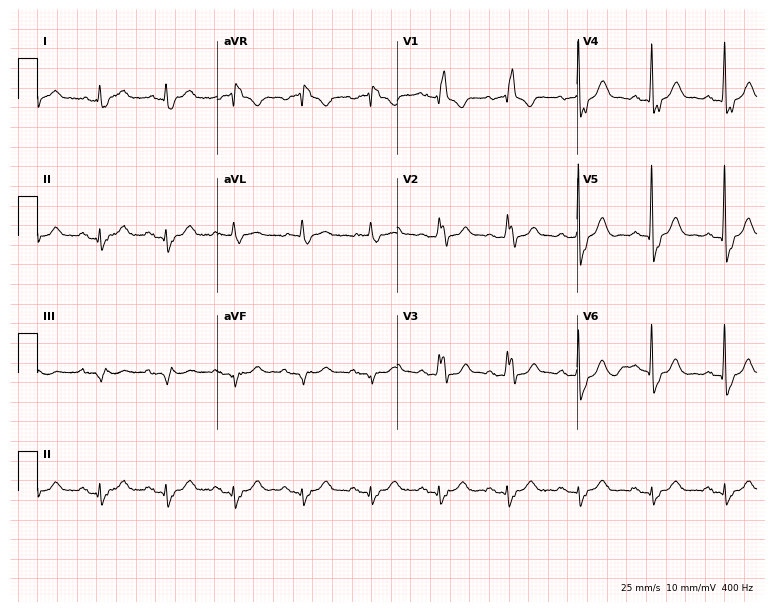
ECG — a 71-year-old man. Findings include right bundle branch block (RBBB).